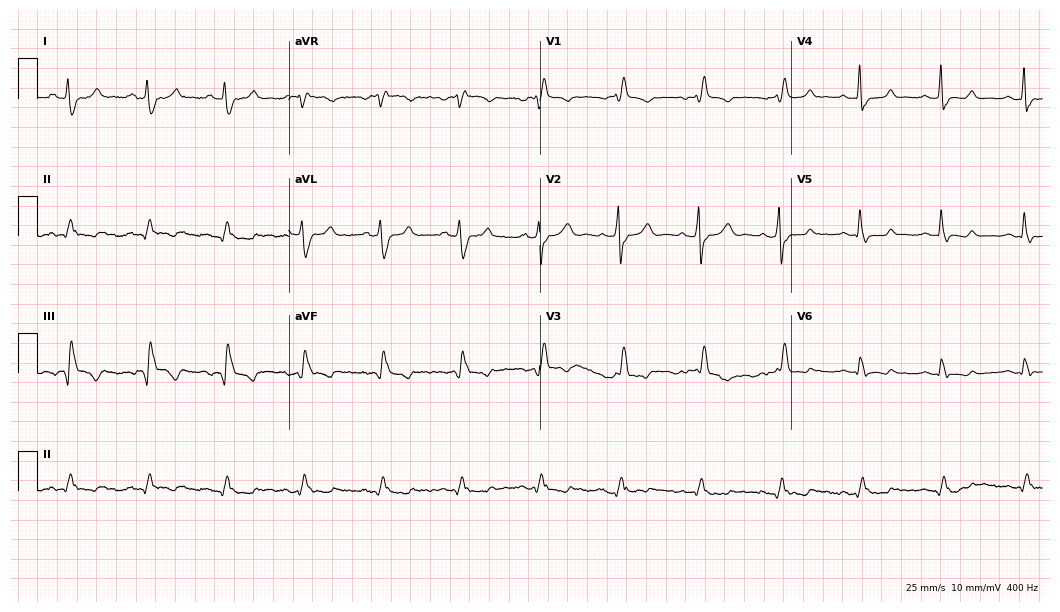
Standard 12-lead ECG recorded from a 64-year-old man (10.2-second recording at 400 Hz). None of these six findings is recorded: first-degree AV block, right bundle branch block, left bundle branch block, sinus bradycardia, atrial fibrillation, sinus tachycardia.